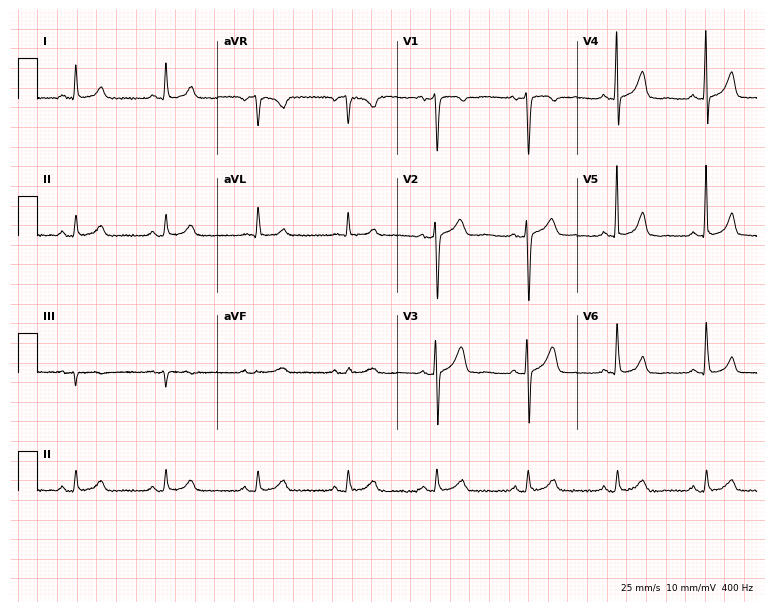
Electrocardiogram (7.3-second recording at 400 Hz), a female, 50 years old. Of the six screened findings (first-degree AV block, right bundle branch block (RBBB), left bundle branch block (LBBB), sinus bradycardia, atrial fibrillation (AF), sinus tachycardia), none is recorded.